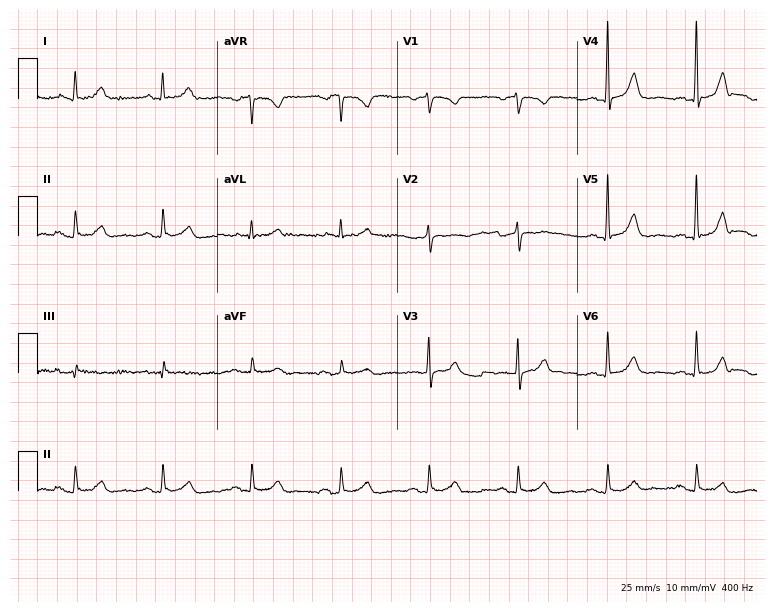
Electrocardiogram, a man, 76 years old. Of the six screened findings (first-degree AV block, right bundle branch block (RBBB), left bundle branch block (LBBB), sinus bradycardia, atrial fibrillation (AF), sinus tachycardia), none is recorded.